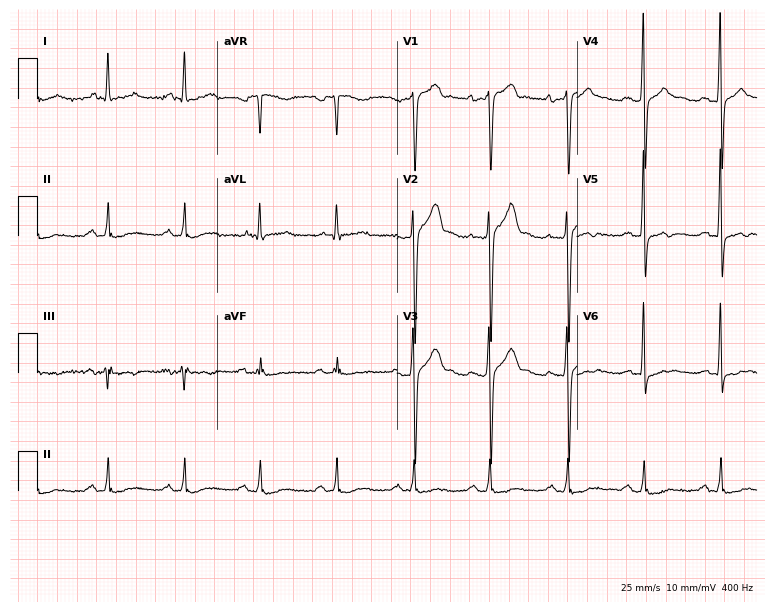
ECG — a 61-year-old male patient. Screened for six findings — first-degree AV block, right bundle branch block, left bundle branch block, sinus bradycardia, atrial fibrillation, sinus tachycardia — none is recorded. Findings outside these six are not listed.